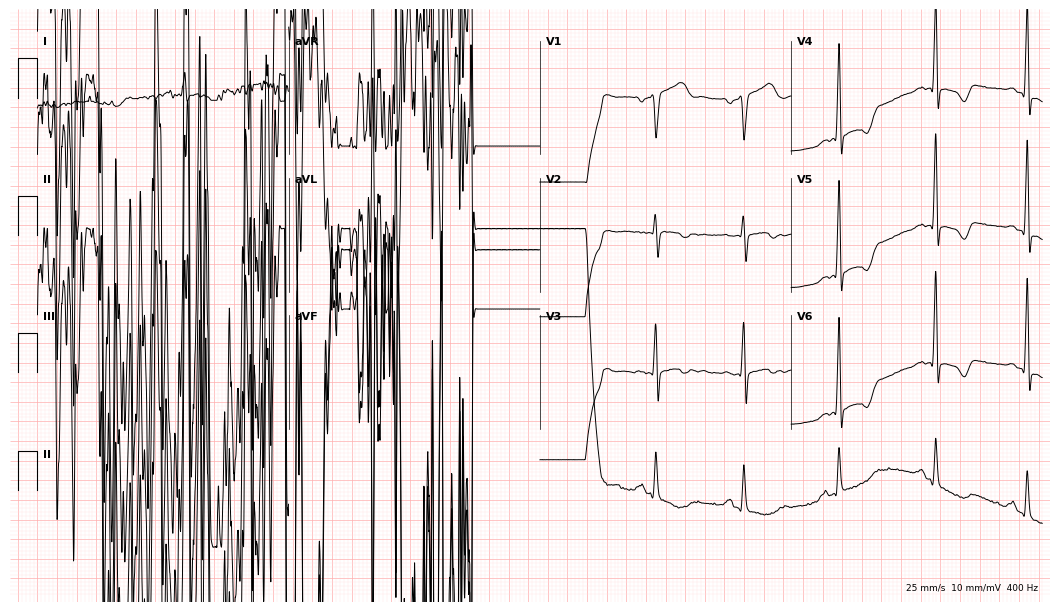
Electrocardiogram, a 55-year-old man. Of the six screened findings (first-degree AV block, right bundle branch block, left bundle branch block, sinus bradycardia, atrial fibrillation, sinus tachycardia), none is recorded. Only these six findings were labelled.